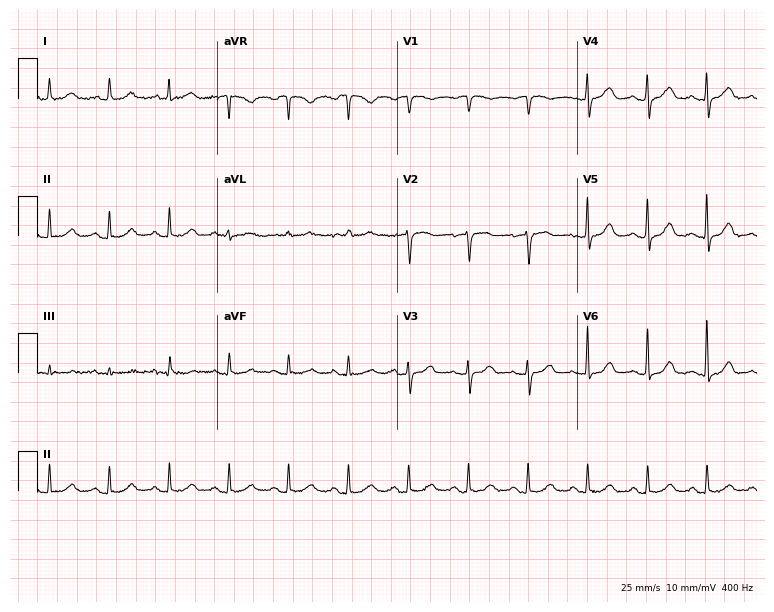
Resting 12-lead electrocardiogram (7.3-second recording at 400 Hz). Patient: an 80-year-old female. Read as a normal ECG.